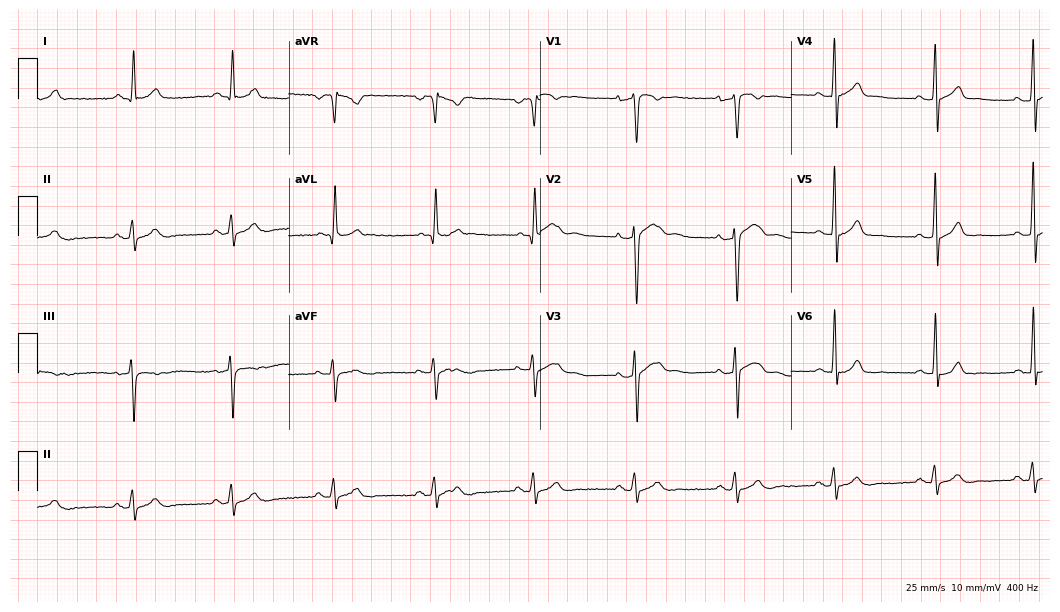
Resting 12-lead electrocardiogram (10.2-second recording at 400 Hz). Patient: a male, 51 years old. Read as a normal ECG.